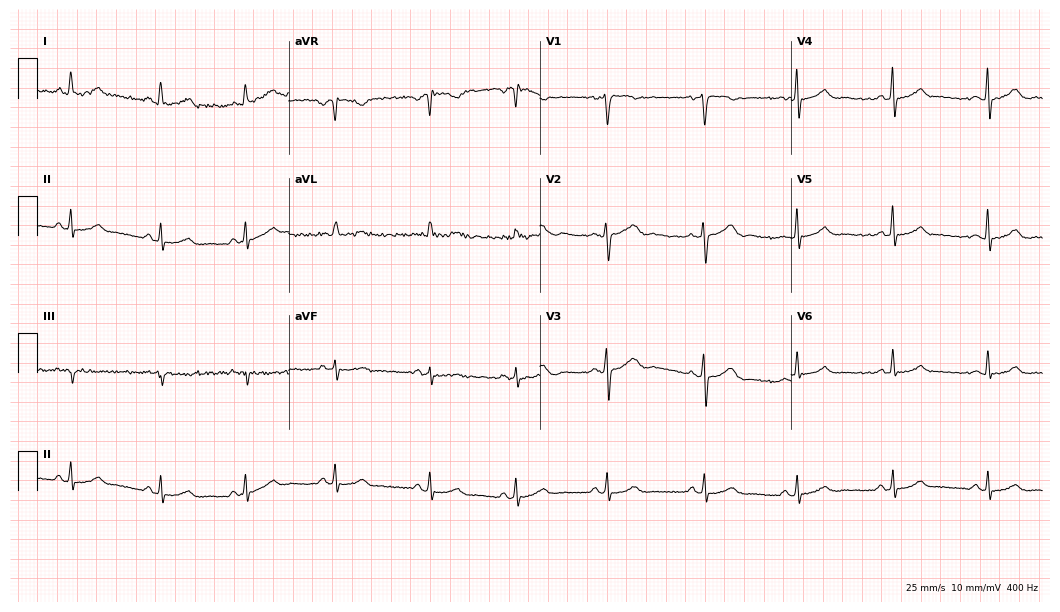
Resting 12-lead electrocardiogram. Patient: a female, 39 years old. Read as a normal ECG.